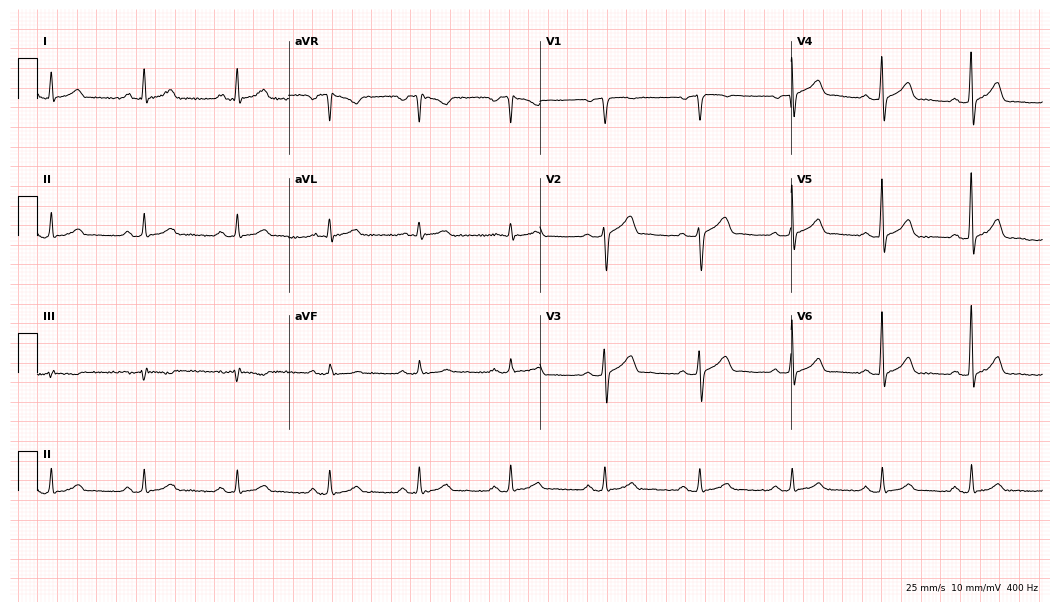
Electrocardiogram, a 46-year-old male patient. Overall reading on record: normal ECG.